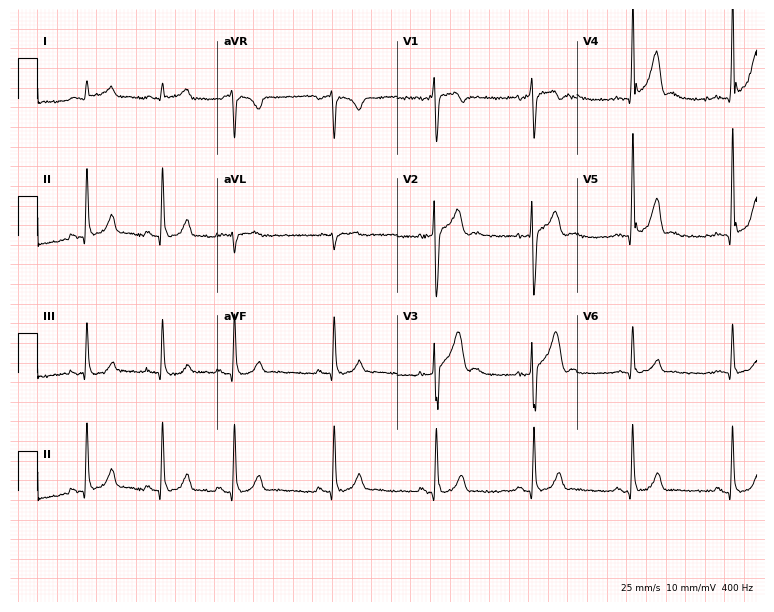
Electrocardiogram (7.3-second recording at 400 Hz), a 23-year-old male. Overall reading on record: normal ECG.